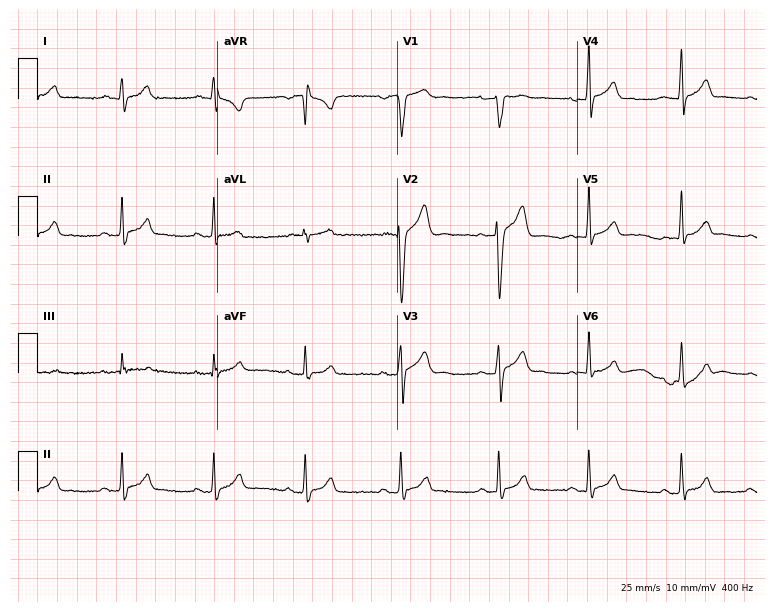
12-lead ECG from a male, 26 years old (7.3-second recording at 400 Hz). Recorded interpretation: within normal limits.